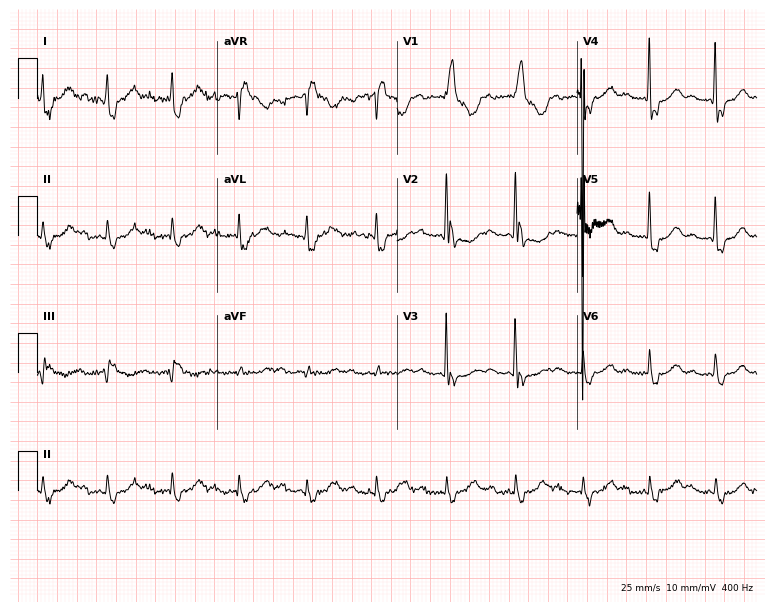
12-lead ECG (7.3-second recording at 400 Hz) from a 76-year-old woman. Screened for six findings — first-degree AV block, right bundle branch block (RBBB), left bundle branch block (LBBB), sinus bradycardia, atrial fibrillation (AF), sinus tachycardia — none is recorded.